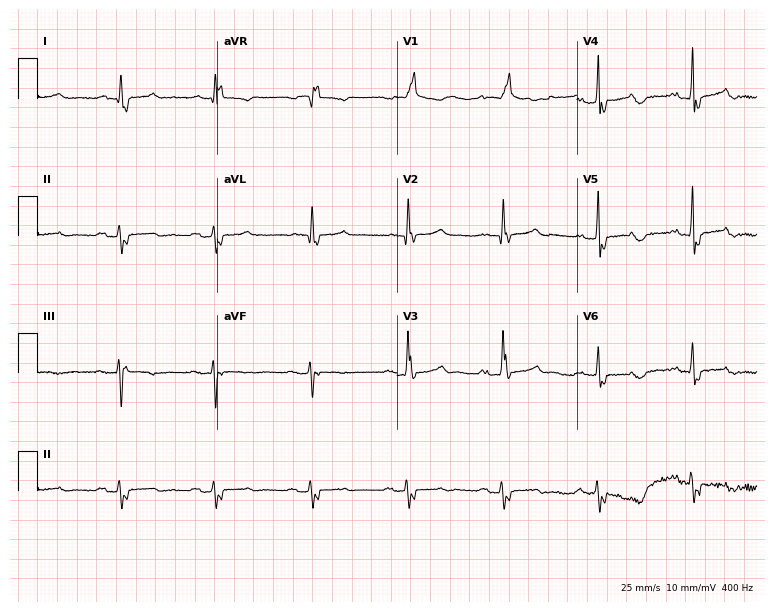
Electrocardiogram, a man, 66 years old. Interpretation includes right bundle branch block.